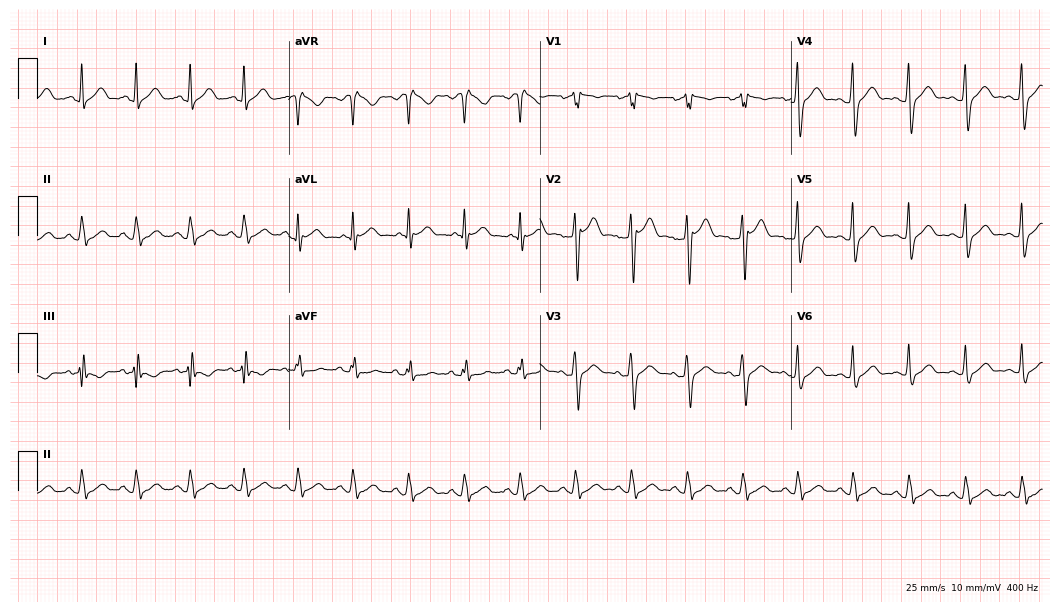
Resting 12-lead electrocardiogram. Patient: a 28-year-old male. The tracing shows sinus tachycardia (a sinus rate of 100 beats per minute or more).